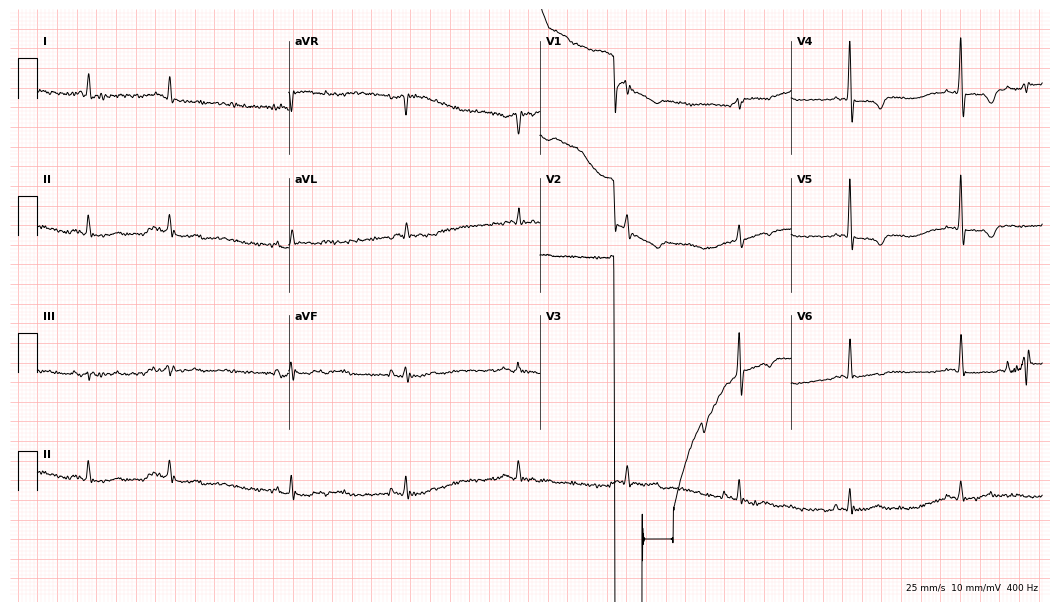
Resting 12-lead electrocardiogram (10.2-second recording at 400 Hz). Patient: a 74-year-old man. None of these six findings is recorded: first-degree AV block, right bundle branch block, left bundle branch block, sinus bradycardia, atrial fibrillation, sinus tachycardia. Findings outside these six are not listed.